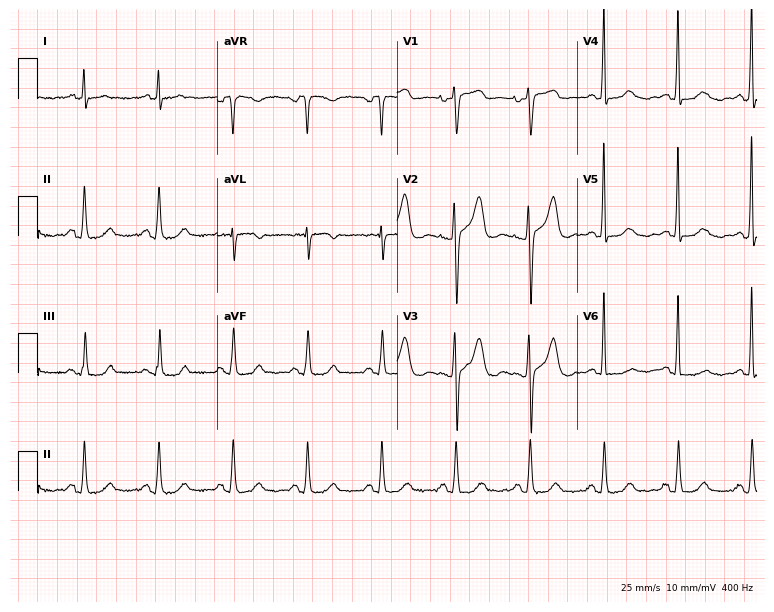
Electrocardiogram (7.3-second recording at 400 Hz), a female patient, 70 years old. Of the six screened findings (first-degree AV block, right bundle branch block, left bundle branch block, sinus bradycardia, atrial fibrillation, sinus tachycardia), none is recorded. Findings outside these six are not listed.